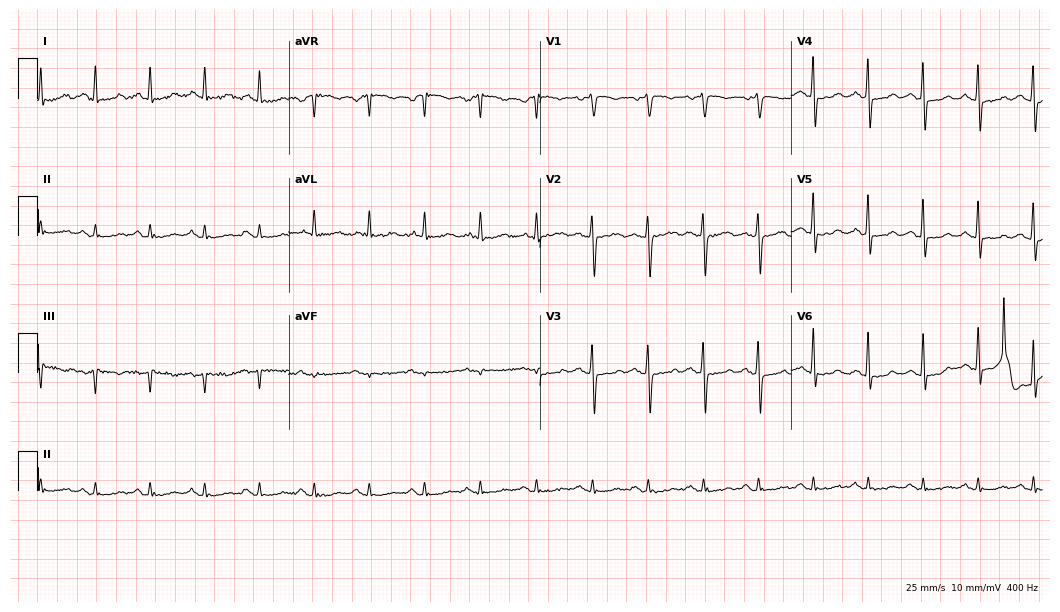
Standard 12-lead ECG recorded from a woman, 65 years old. The tracing shows sinus tachycardia (a sinus rate of 100 beats per minute or more).